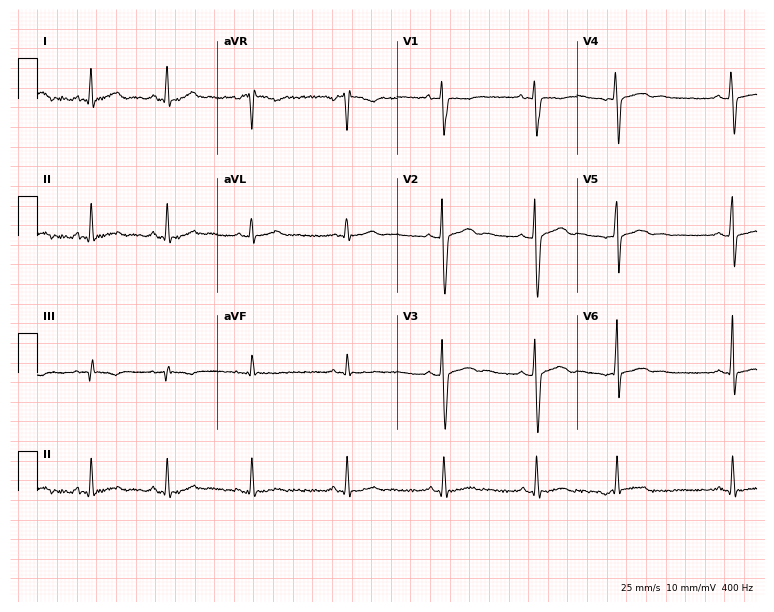
ECG (7.3-second recording at 400 Hz) — a male, 22 years old. Screened for six findings — first-degree AV block, right bundle branch block (RBBB), left bundle branch block (LBBB), sinus bradycardia, atrial fibrillation (AF), sinus tachycardia — none is recorded.